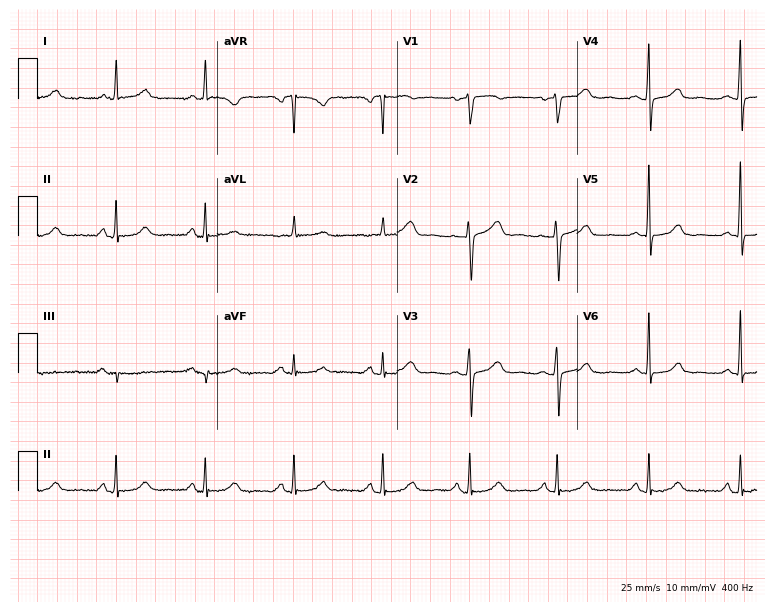
12-lead ECG from a female patient, 67 years old. No first-degree AV block, right bundle branch block (RBBB), left bundle branch block (LBBB), sinus bradycardia, atrial fibrillation (AF) or sinus tachycardia recorded for this tracing.